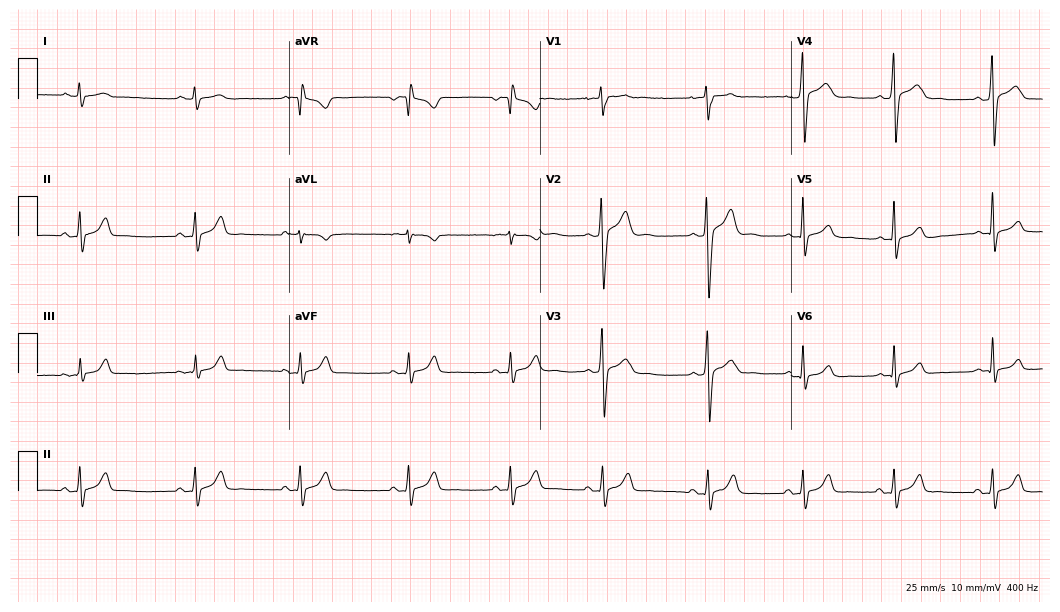
Standard 12-lead ECG recorded from a 23-year-old male patient (10.2-second recording at 400 Hz). Read as a normal ECG.